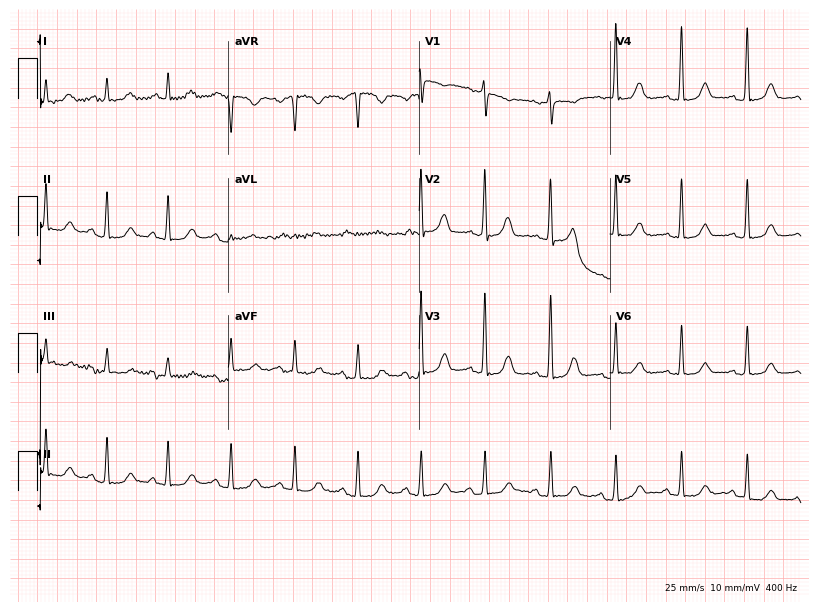
Electrocardiogram, a female, 72 years old. Overall reading on record: normal ECG.